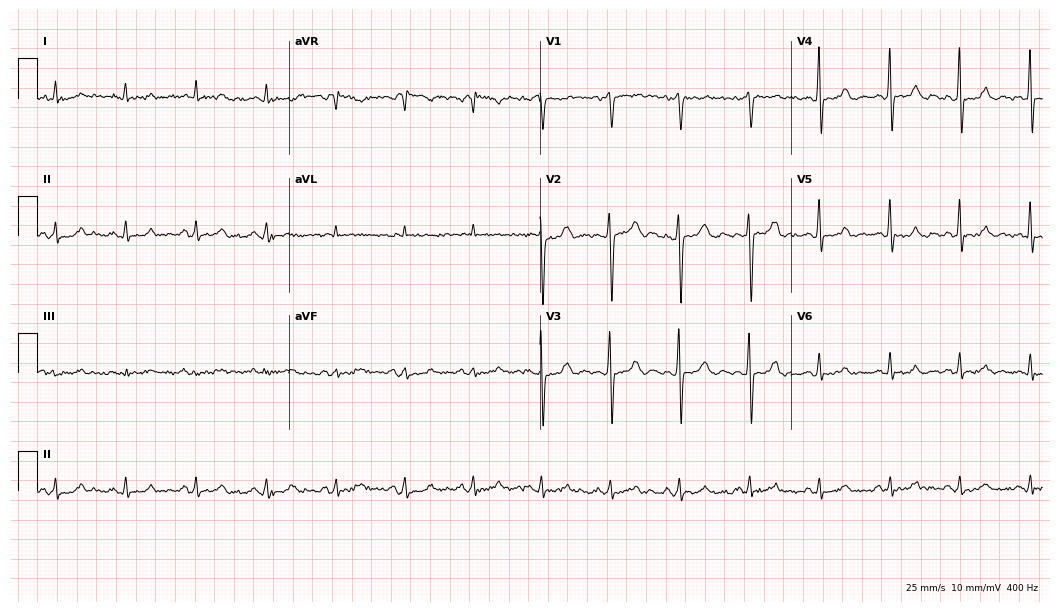
12-lead ECG (10.2-second recording at 400 Hz) from a male, 68 years old. Screened for six findings — first-degree AV block, right bundle branch block, left bundle branch block, sinus bradycardia, atrial fibrillation, sinus tachycardia — none is recorded. Other findings, if any, are not listed.